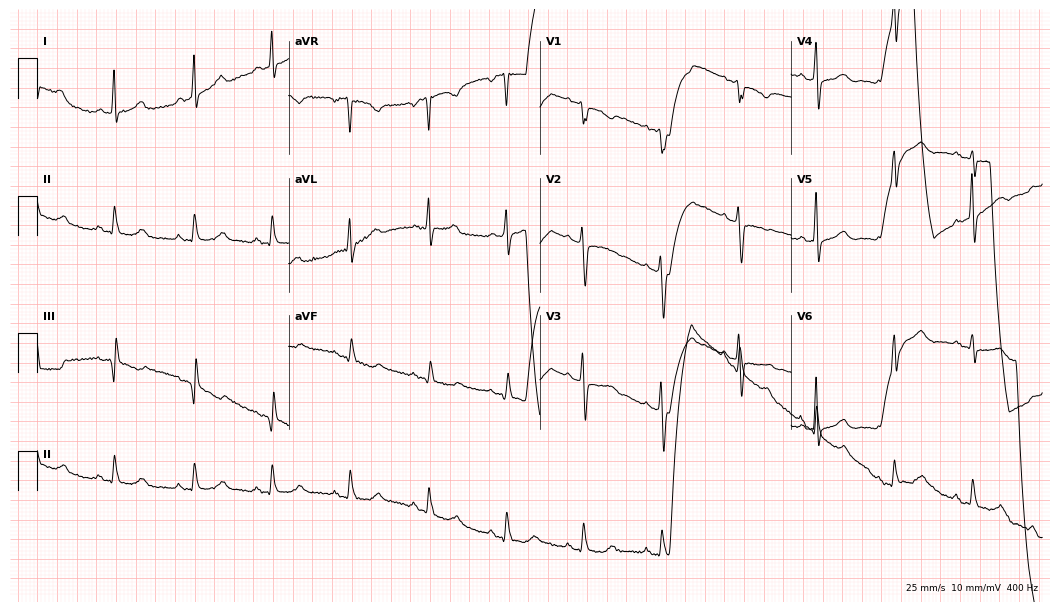
ECG — a woman, 65 years old. Labelled as a normal ECG.